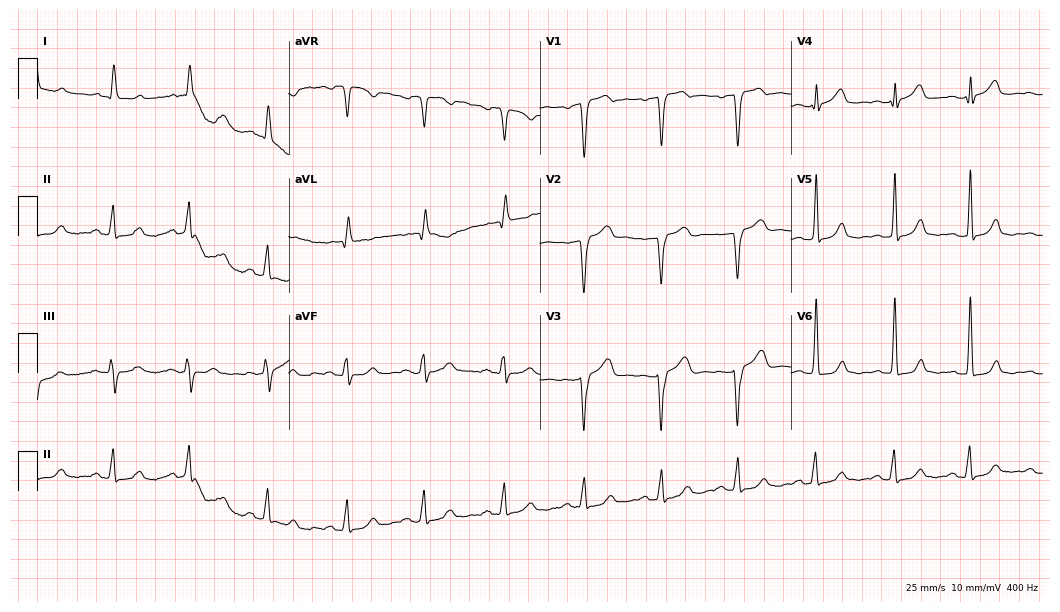
Standard 12-lead ECG recorded from a 55-year-old female (10.2-second recording at 400 Hz). None of these six findings is recorded: first-degree AV block, right bundle branch block (RBBB), left bundle branch block (LBBB), sinus bradycardia, atrial fibrillation (AF), sinus tachycardia. Findings outside these six are not listed.